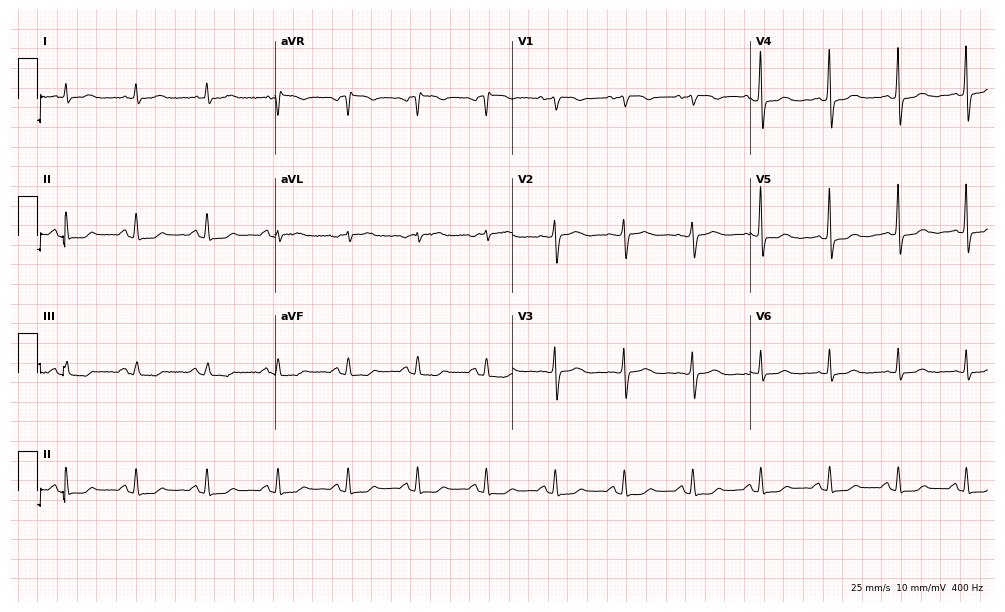
12-lead ECG from a woman, 73 years old. No first-degree AV block, right bundle branch block (RBBB), left bundle branch block (LBBB), sinus bradycardia, atrial fibrillation (AF) or sinus tachycardia recorded for this tracing. Findings outside these six are not listed.